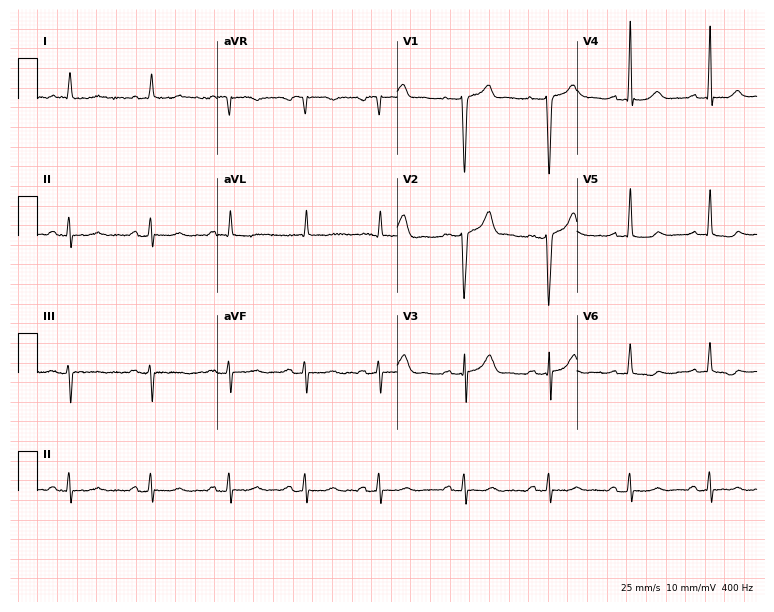
Standard 12-lead ECG recorded from a 79-year-old male patient. None of these six findings is recorded: first-degree AV block, right bundle branch block, left bundle branch block, sinus bradycardia, atrial fibrillation, sinus tachycardia. Findings outside these six are not listed.